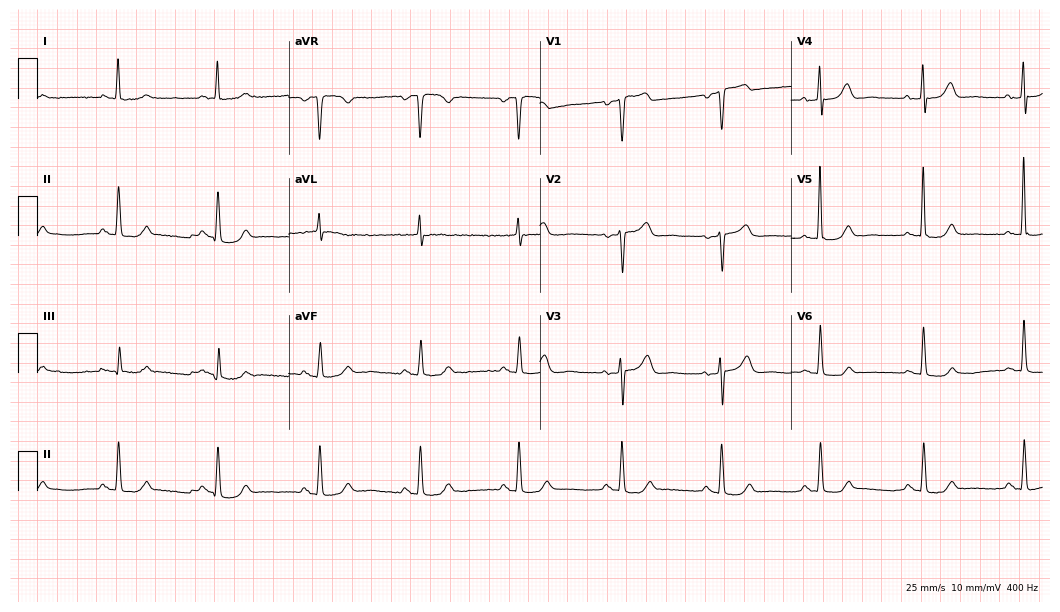
12-lead ECG (10.2-second recording at 400 Hz) from a 66-year-old female patient. Screened for six findings — first-degree AV block, right bundle branch block, left bundle branch block, sinus bradycardia, atrial fibrillation, sinus tachycardia — none is recorded. Other findings, if any, are not listed.